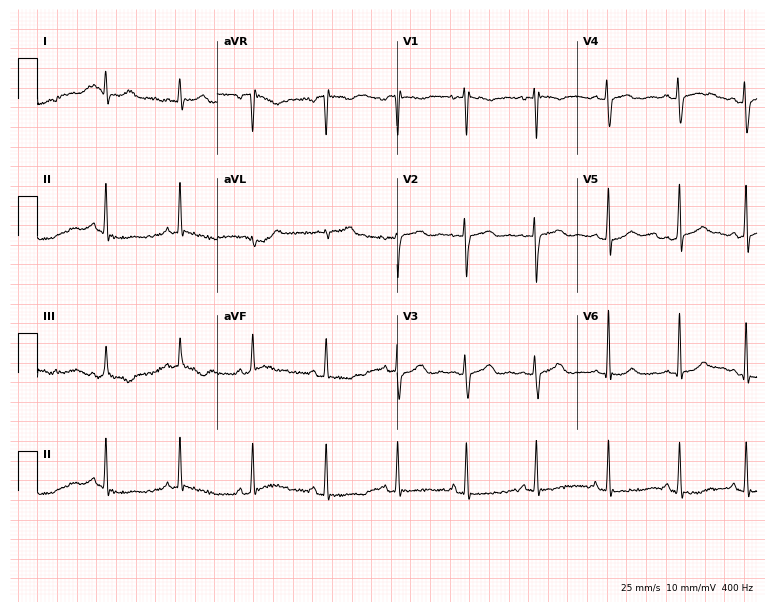
Standard 12-lead ECG recorded from a 19-year-old female. None of these six findings is recorded: first-degree AV block, right bundle branch block (RBBB), left bundle branch block (LBBB), sinus bradycardia, atrial fibrillation (AF), sinus tachycardia.